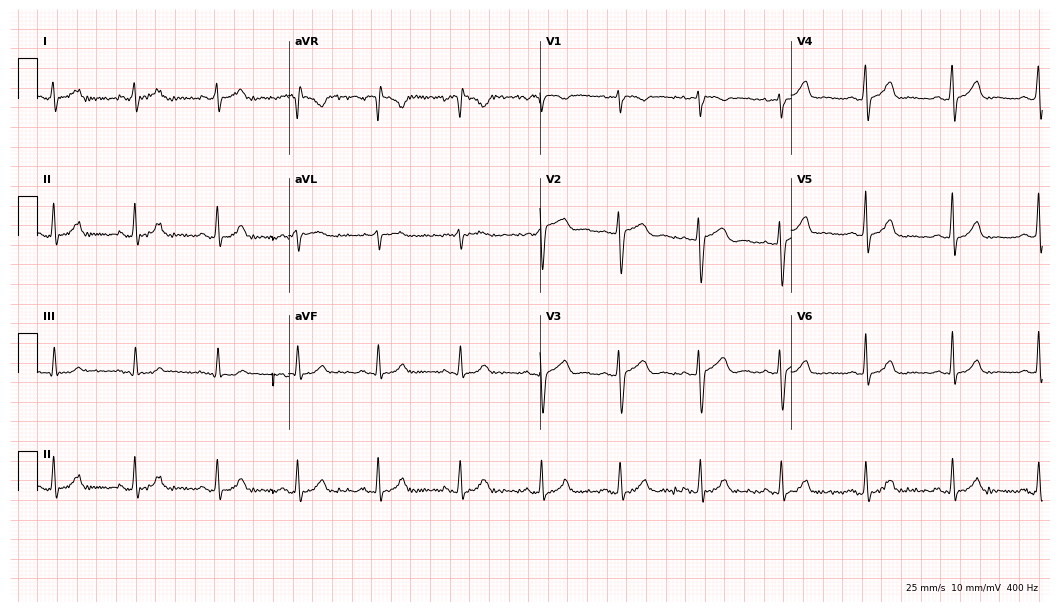
12-lead ECG from a female, 41 years old. Recorded interpretation: within normal limits.